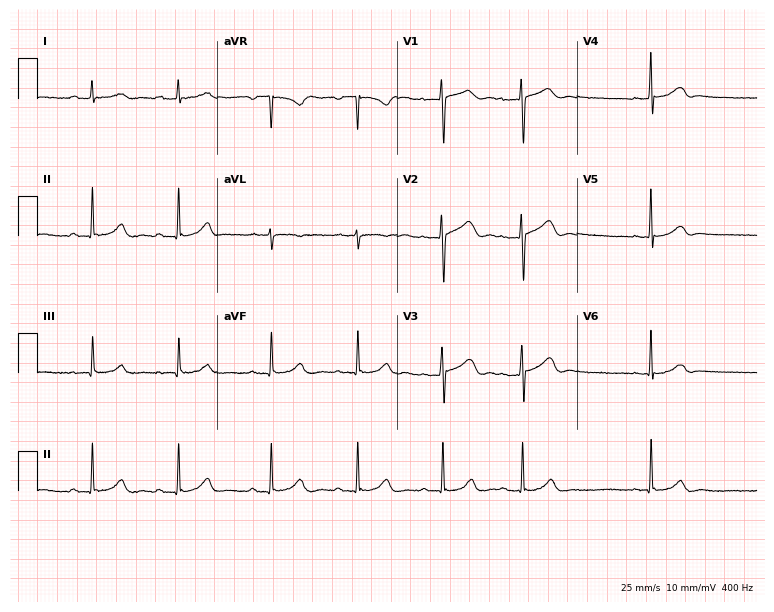
12-lead ECG from a woman, 19 years old (7.3-second recording at 400 Hz). No first-degree AV block, right bundle branch block, left bundle branch block, sinus bradycardia, atrial fibrillation or sinus tachycardia recorded for this tracing. Only these six findings were labelled.